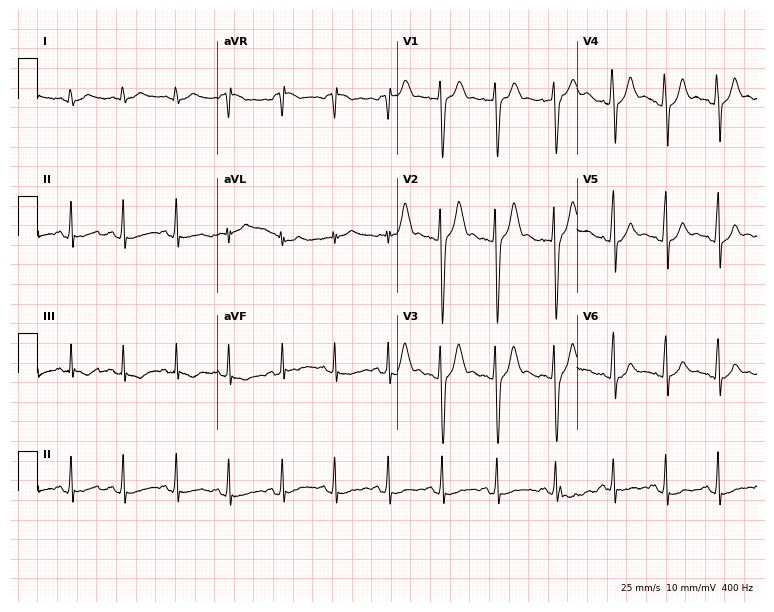
Standard 12-lead ECG recorded from a male patient, 29 years old (7.3-second recording at 400 Hz). The tracing shows sinus tachycardia (a sinus rate of 100 beats per minute or more).